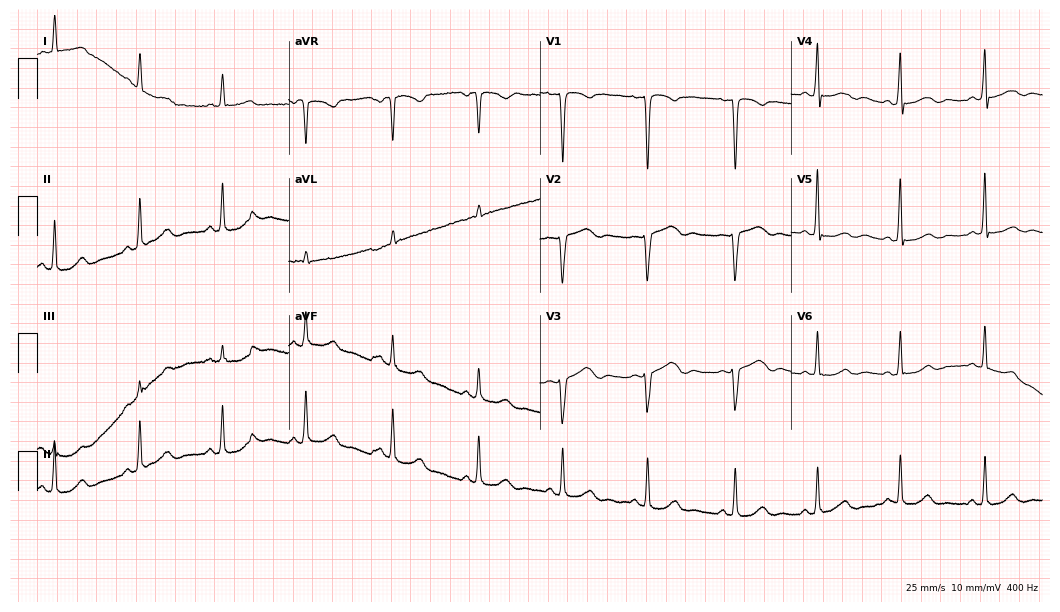
Standard 12-lead ECG recorded from a female, 52 years old (10.2-second recording at 400 Hz). None of these six findings is recorded: first-degree AV block, right bundle branch block (RBBB), left bundle branch block (LBBB), sinus bradycardia, atrial fibrillation (AF), sinus tachycardia.